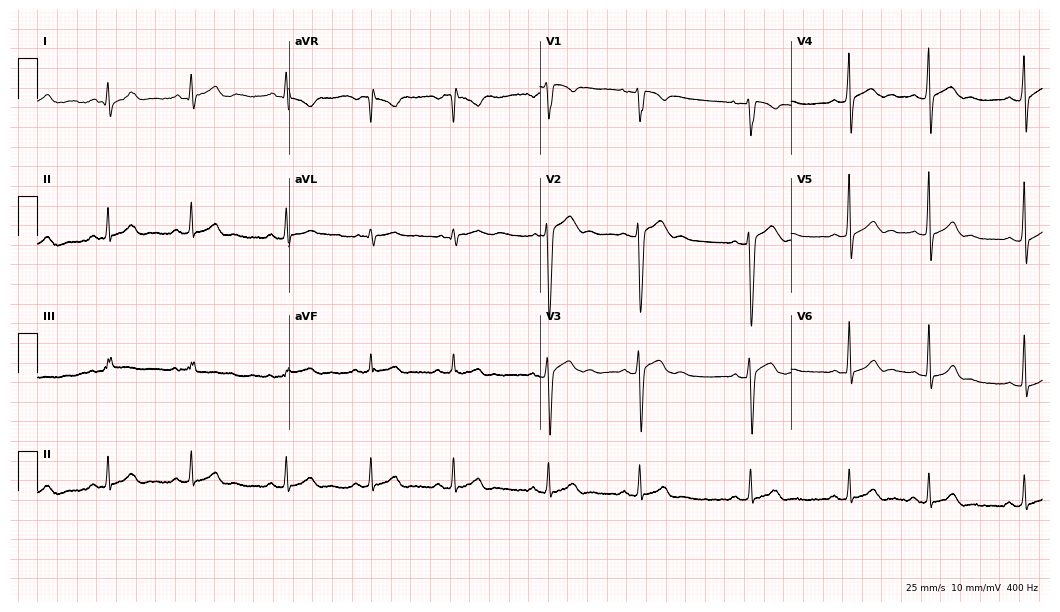
12-lead ECG from a 19-year-old male (10.2-second recording at 400 Hz). Recorded interpretation: within normal limits.